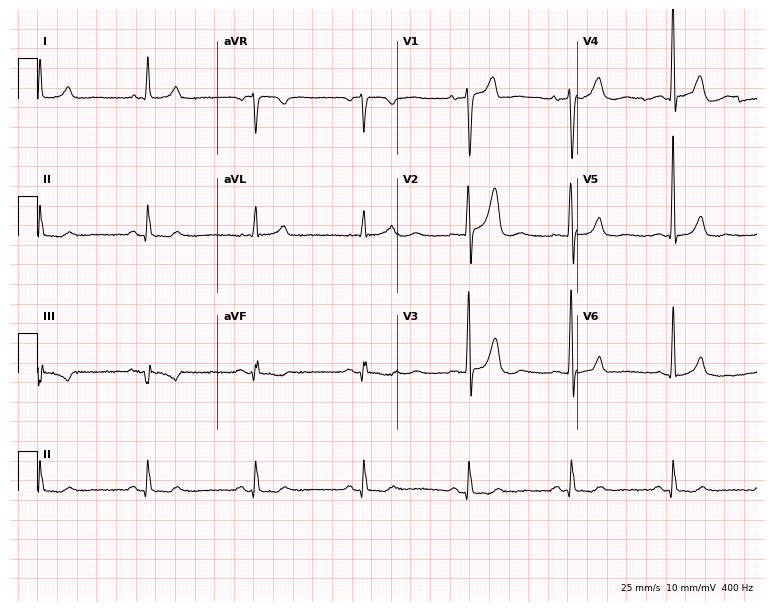
Electrocardiogram (7.3-second recording at 400 Hz), a 59-year-old man. Of the six screened findings (first-degree AV block, right bundle branch block, left bundle branch block, sinus bradycardia, atrial fibrillation, sinus tachycardia), none is recorded. Other findings, if any, are not listed.